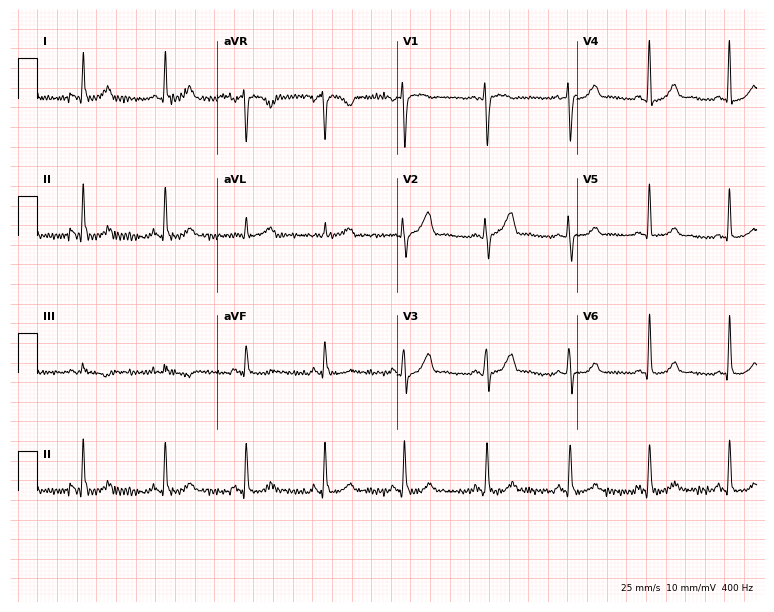
Electrocardiogram (7.3-second recording at 400 Hz), a female, 38 years old. Overall reading on record: normal ECG.